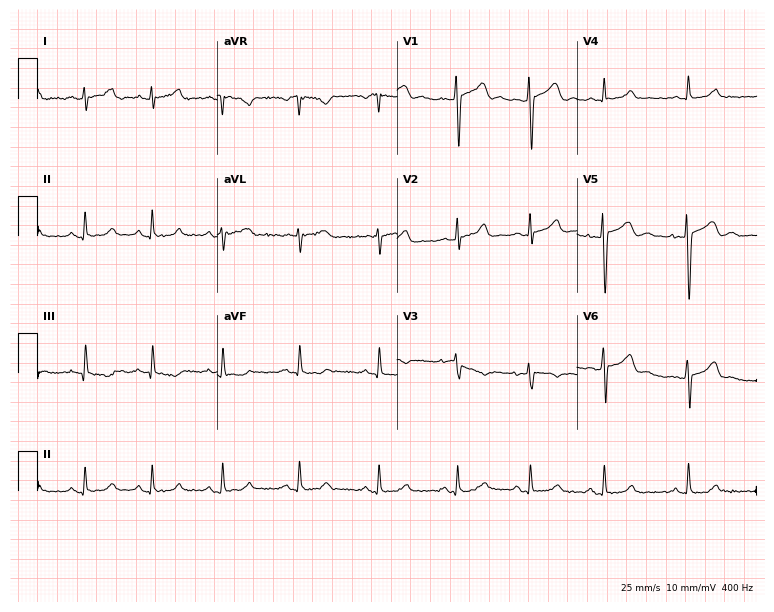
Resting 12-lead electrocardiogram. Patient: a woman, 27 years old. None of these six findings is recorded: first-degree AV block, right bundle branch block, left bundle branch block, sinus bradycardia, atrial fibrillation, sinus tachycardia. Findings outside these six are not listed.